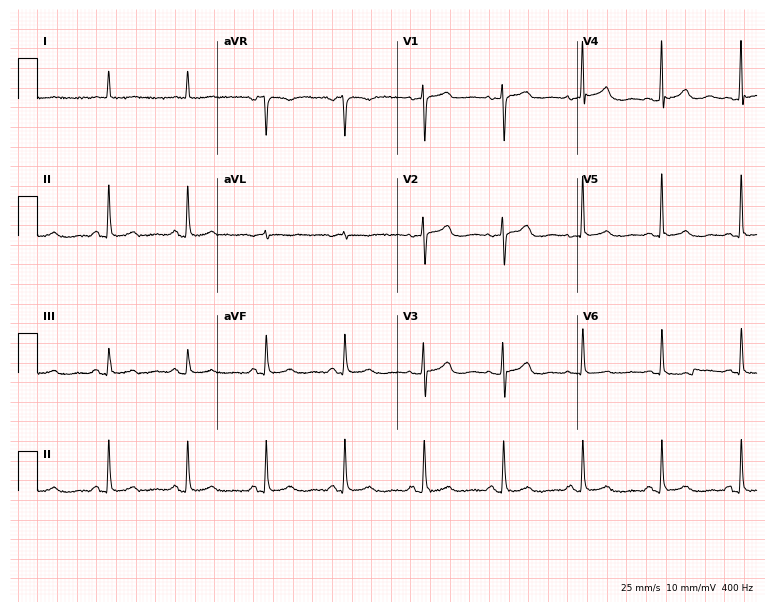
12-lead ECG from a female, 62 years old. No first-degree AV block, right bundle branch block, left bundle branch block, sinus bradycardia, atrial fibrillation or sinus tachycardia recorded for this tracing.